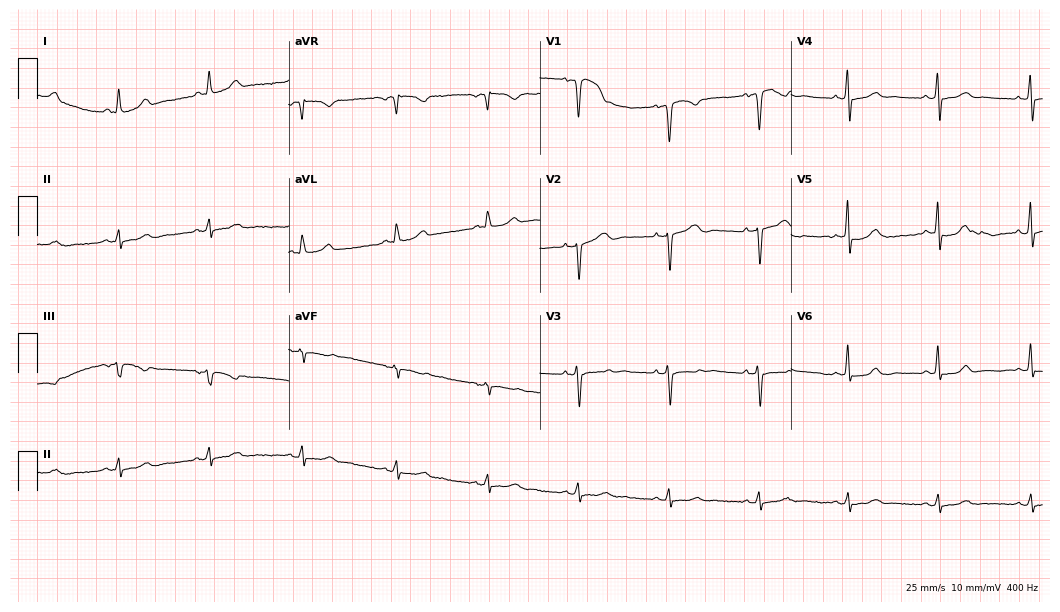
ECG (10.2-second recording at 400 Hz) — a female, 57 years old. Labelled as a normal ECG.